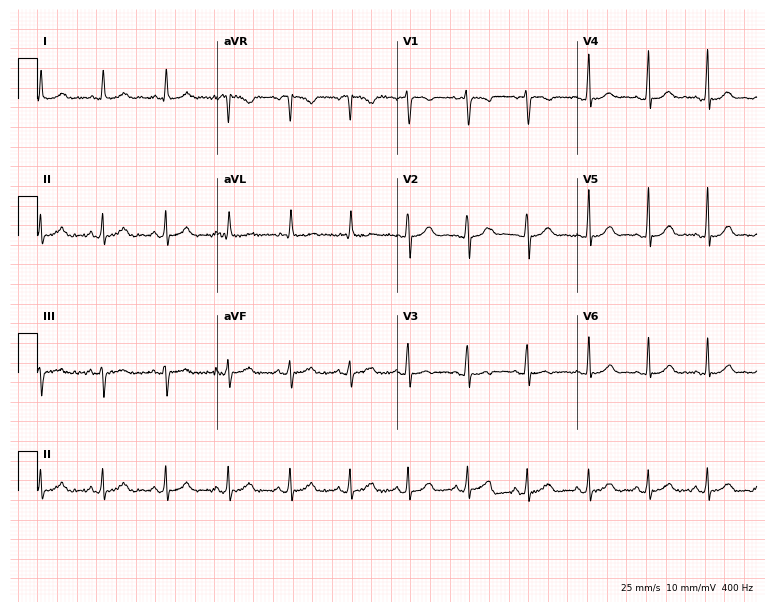
ECG — a 19-year-old woman. Labelled as a normal ECG.